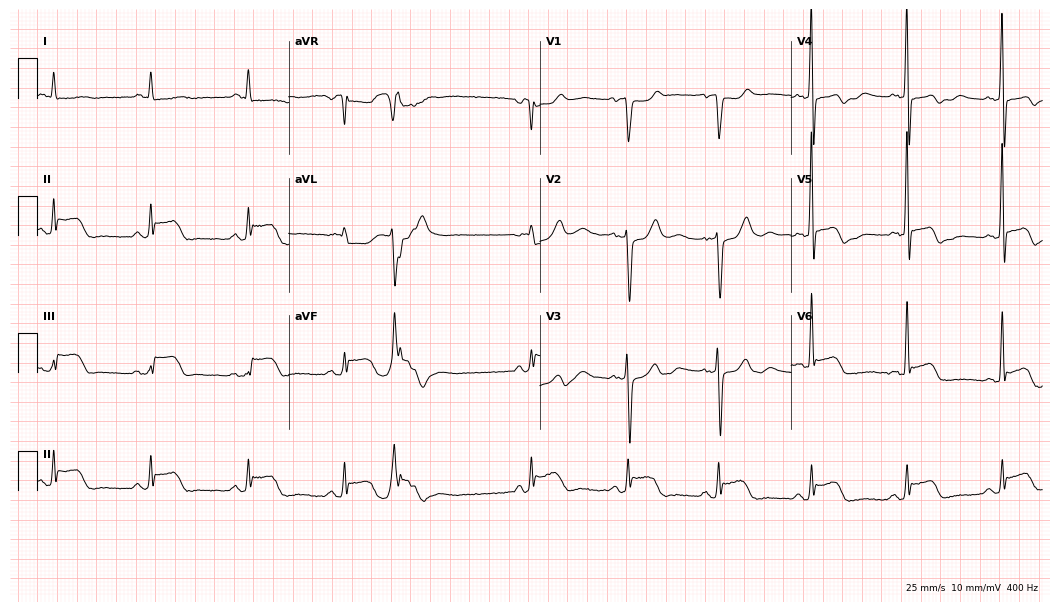
12-lead ECG (10.2-second recording at 400 Hz) from a male patient, 66 years old. Screened for six findings — first-degree AV block, right bundle branch block, left bundle branch block, sinus bradycardia, atrial fibrillation, sinus tachycardia — none is recorded. Other findings, if any, are not listed.